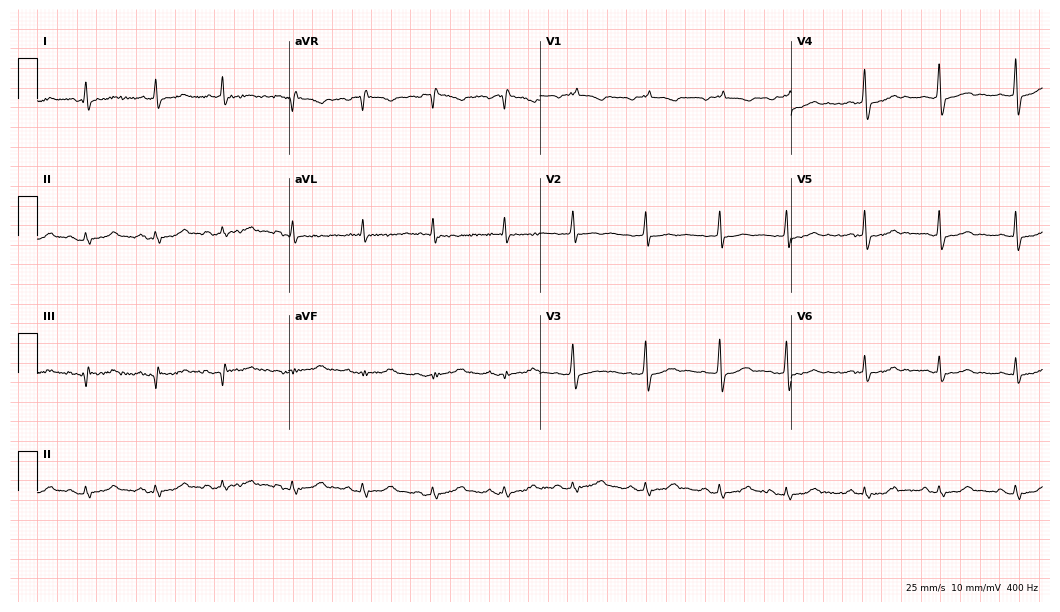
12-lead ECG from a 76-year-old male. No first-degree AV block, right bundle branch block, left bundle branch block, sinus bradycardia, atrial fibrillation or sinus tachycardia recorded for this tracing.